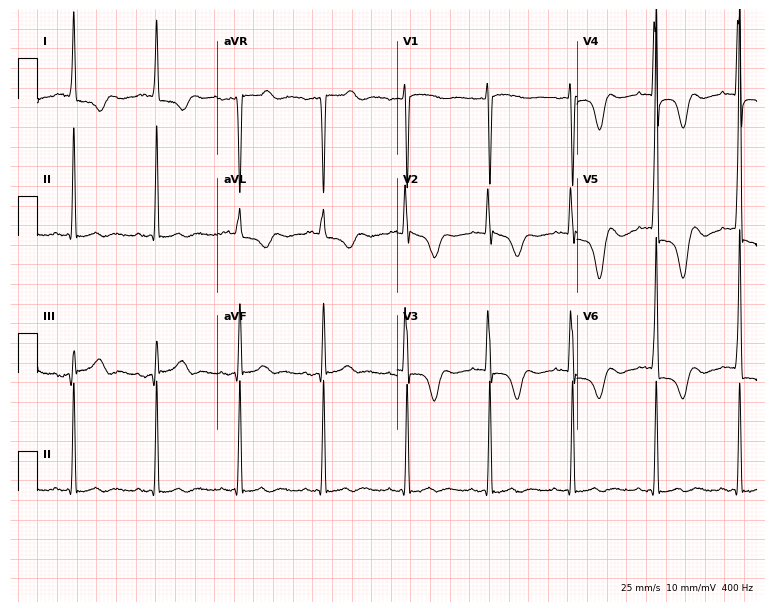
12-lead ECG (7.3-second recording at 400 Hz) from a 74-year-old female patient. Screened for six findings — first-degree AV block, right bundle branch block, left bundle branch block, sinus bradycardia, atrial fibrillation, sinus tachycardia — none is recorded.